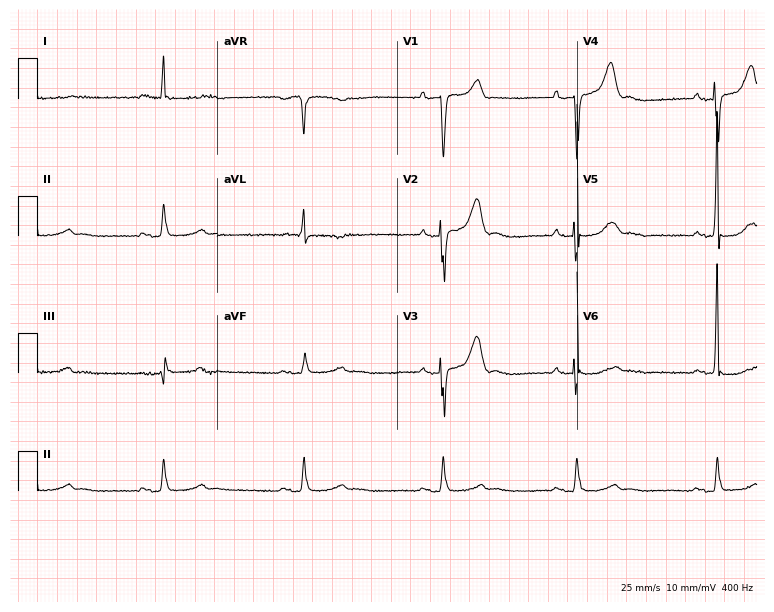
ECG — a male patient, 77 years old. Findings include sinus bradycardia (a sinus rate of 50 beats per minute or less).